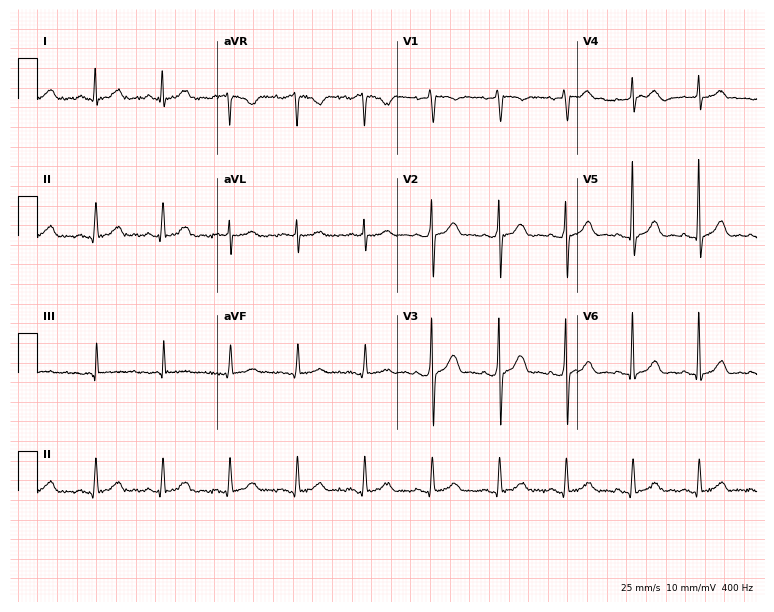
12-lead ECG from a 39-year-old male patient (7.3-second recording at 400 Hz). Recorded interpretation: within normal limits.